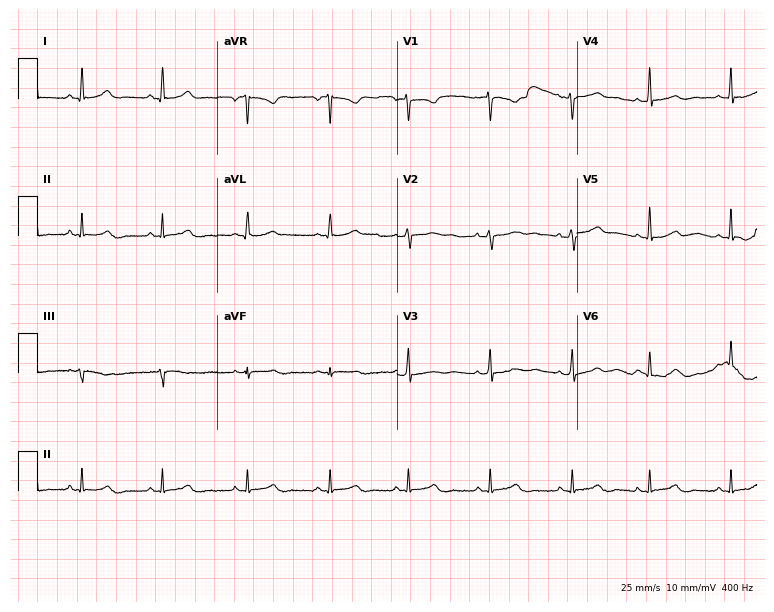
Standard 12-lead ECG recorded from a 40-year-old female patient (7.3-second recording at 400 Hz). Read as a normal ECG.